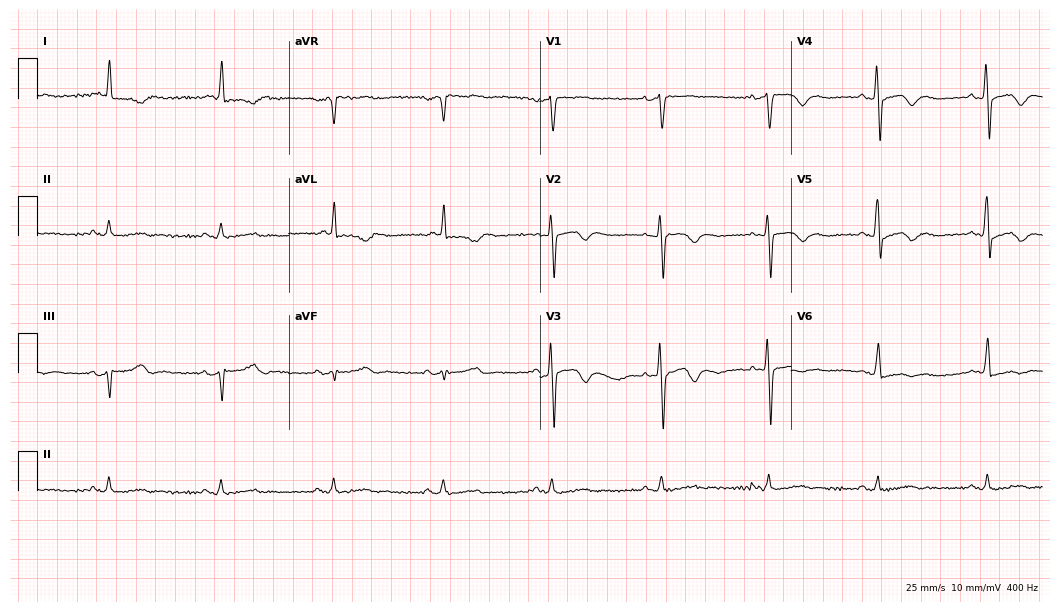
12-lead ECG from a male, 75 years old. No first-degree AV block, right bundle branch block, left bundle branch block, sinus bradycardia, atrial fibrillation or sinus tachycardia recorded for this tracing. Findings outside these six are not listed.